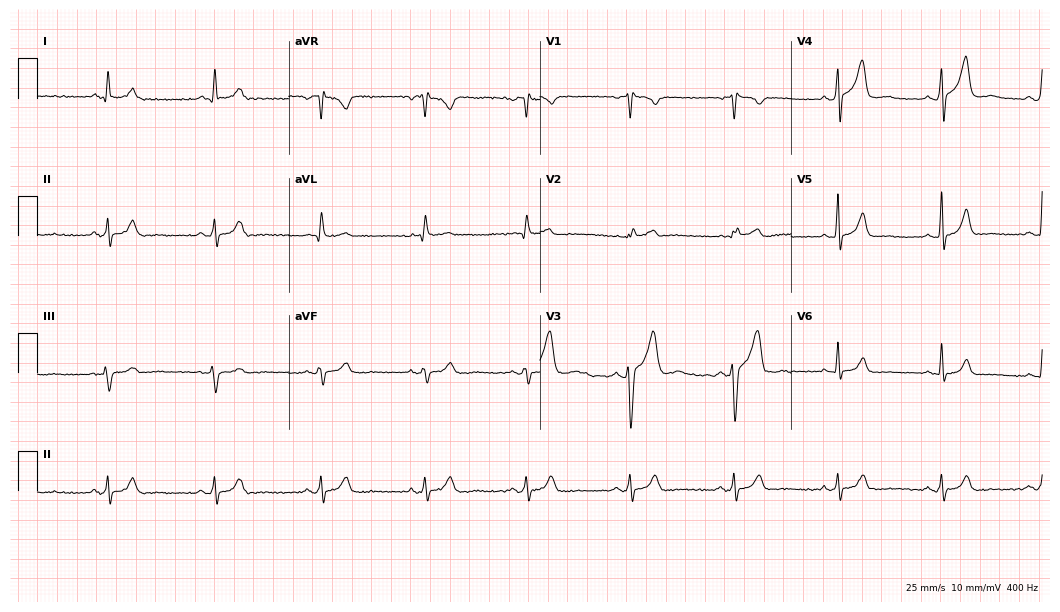
Standard 12-lead ECG recorded from a male, 70 years old (10.2-second recording at 400 Hz). None of these six findings is recorded: first-degree AV block, right bundle branch block, left bundle branch block, sinus bradycardia, atrial fibrillation, sinus tachycardia.